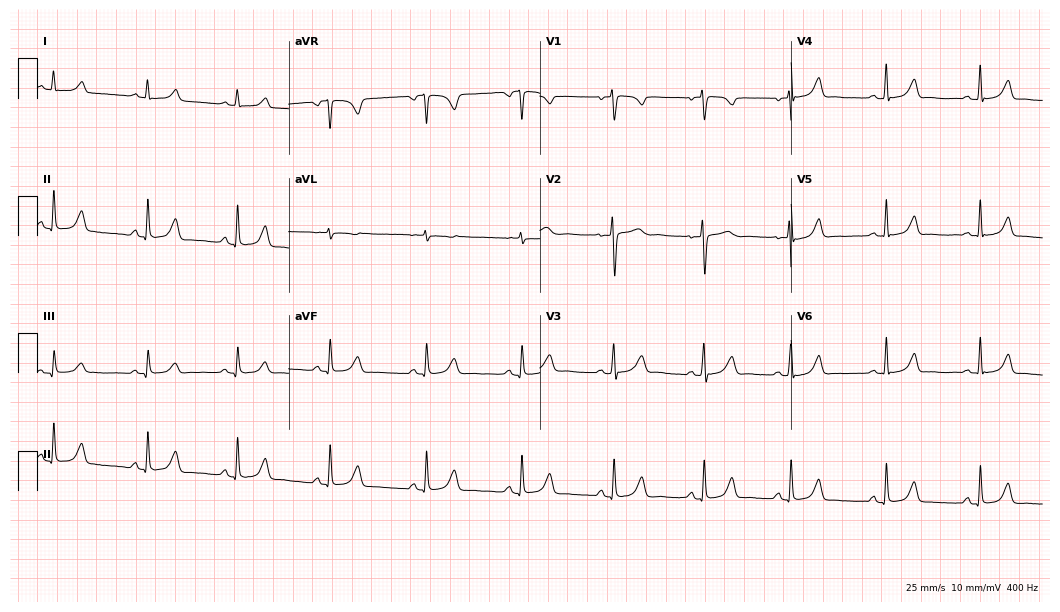
Standard 12-lead ECG recorded from a female, 22 years old. Read as a normal ECG.